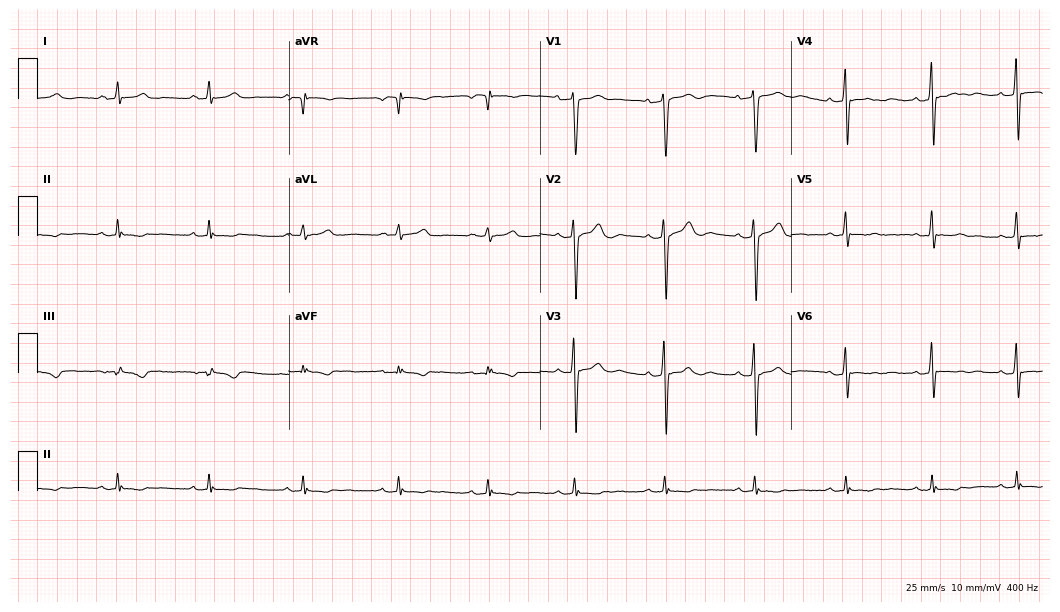
Electrocardiogram, a 36-year-old man. Of the six screened findings (first-degree AV block, right bundle branch block, left bundle branch block, sinus bradycardia, atrial fibrillation, sinus tachycardia), none is recorded.